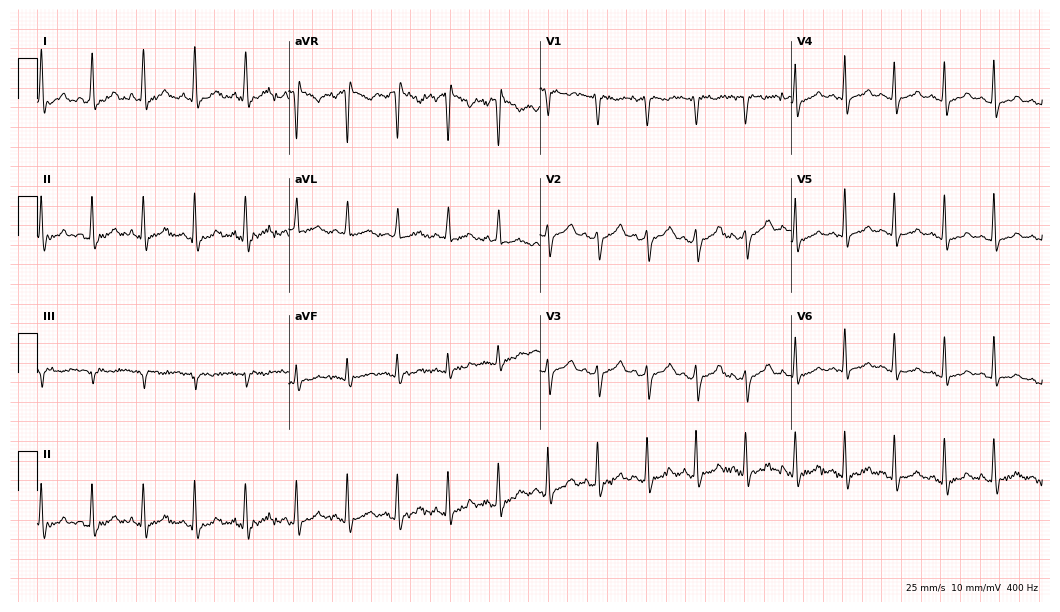
Electrocardiogram, a 27-year-old woman. Interpretation includes sinus tachycardia (a sinus rate of 100 beats per minute or more).